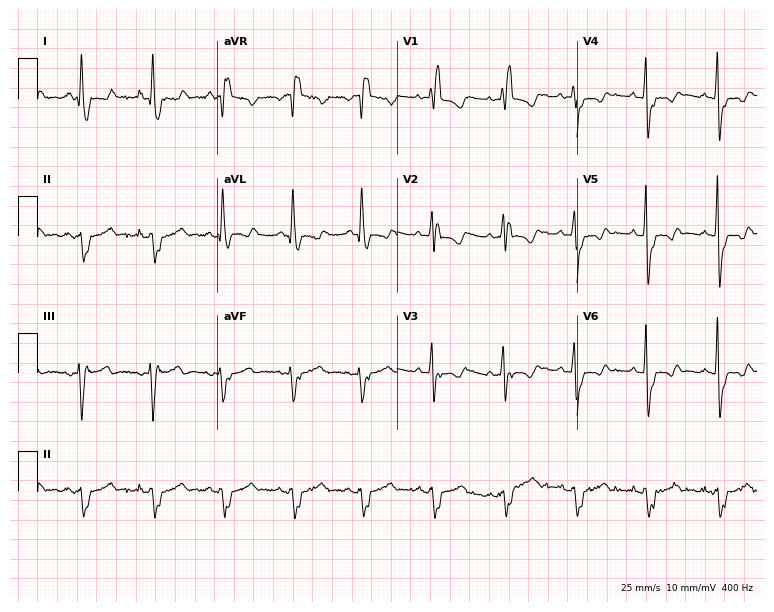
ECG — a 66-year-old female patient. Screened for six findings — first-degree AV block, right bundle branch block, left bundle branch block, sinus bradycardia, atrial fibrillation, sinus tachycardia — none is recorded. Findings outside these six are not listed.